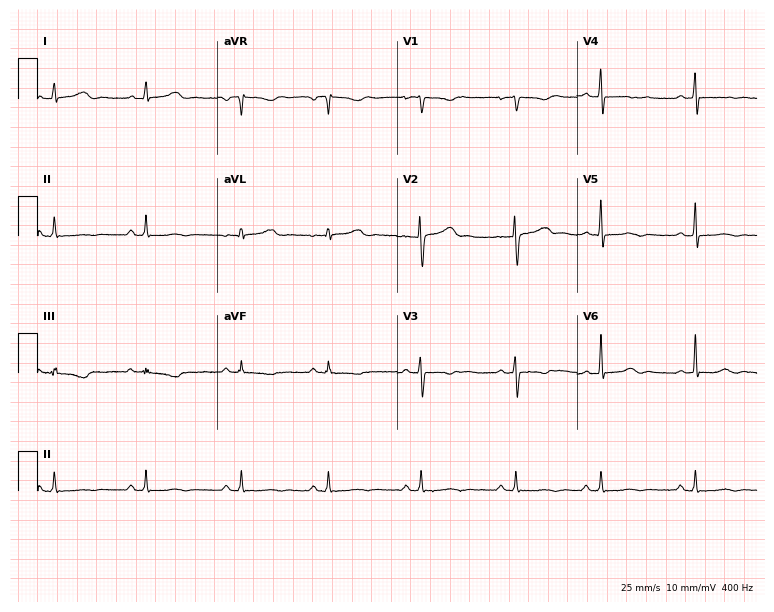
Electrocardiogram (7.3-second recording at 400 Hz), a 23-year-old woman. Of the six screened findings (first-degree AV block, right bundle branch block (RBBB), left bundle branch block (LBBB), sinus bradycardia, atrial fibrillation (AF), sinus tachycardia), none is recorded.